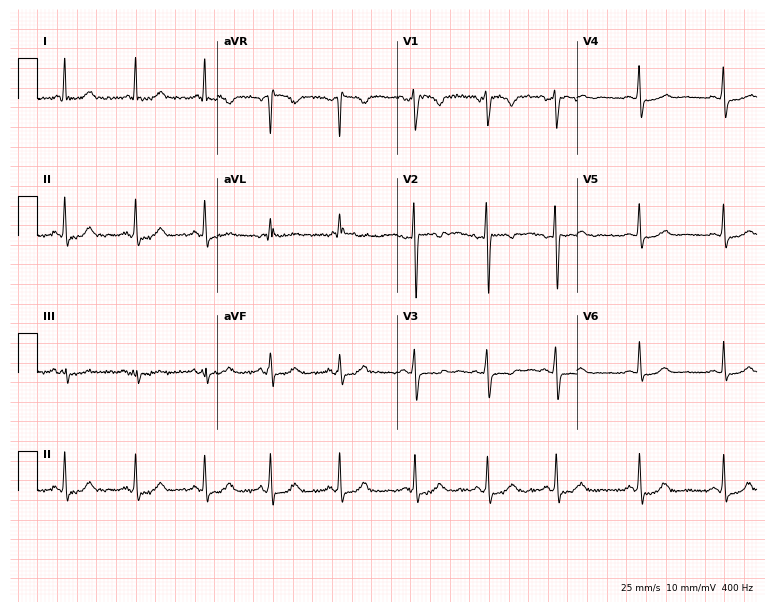
Resting 12-lead electrocardiogram (7.3-second recording at 400 Hz). Patient: a female, 24 years old. None of these six findings is recorded: first-degree AV block, right bundle branch block, left bundle branch block, sinus bradycardia, atrial fibrillation, sinus tachycardia.